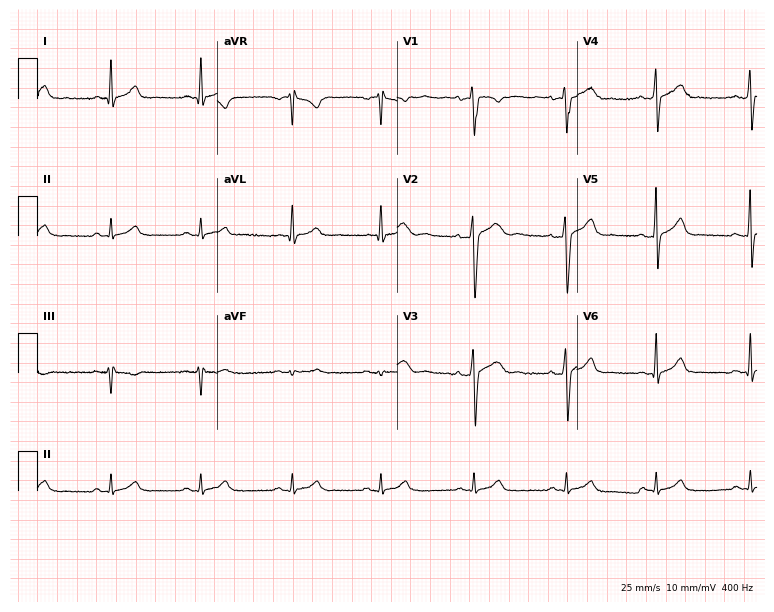
12-lead ECG (7.3-second recording at 400 Hz) from a male, 32 years old. Screened for six findings — first-degree AV block, right bundle branch block, left bundle branch block, sinus bradycardia, atrial fibrillation, sinus tachycardia — none is recorded.